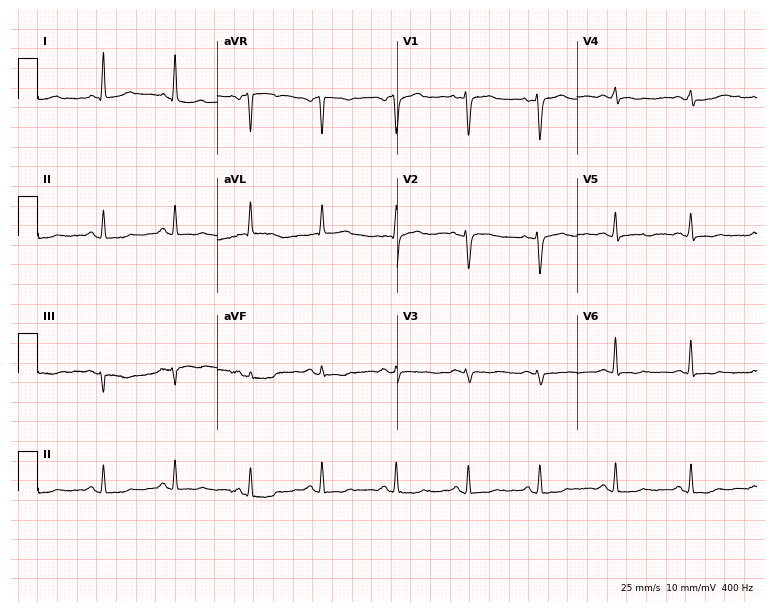
12-lead ECG from a female, 49 years old. No first-degree AV block, right bundle branch block, left bundle branch block, sinus bradycardia, atrial fibrillation or sinus tachycardia recorded for this tracing.